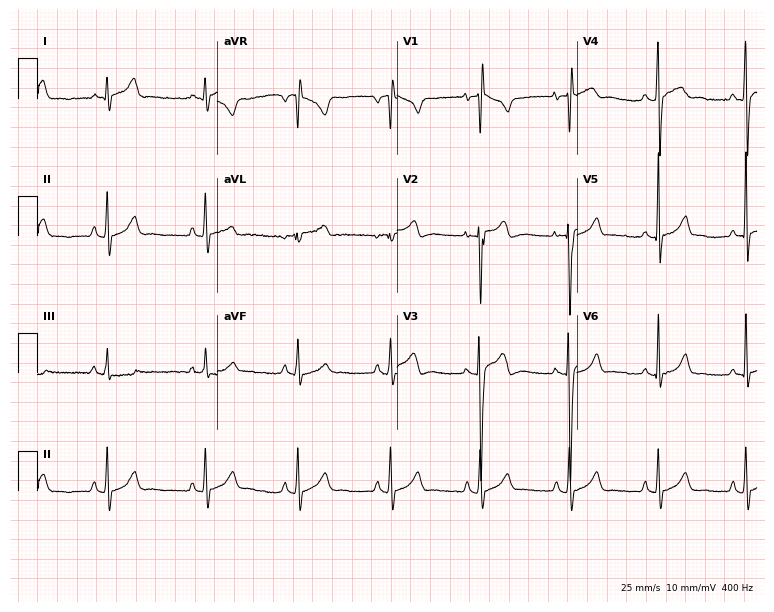
ECG (7.3-second recording at 400 Hz) — a 20-year-old male patient. Screened for six findings — first-degree AV block, right bundle branch block (RBBB), left bundle branch block (LBBB), sinus bradycardia, atrial fibrillation (AF), sinus tachycardia — none is recorded. Other findings, if any, are not listed.